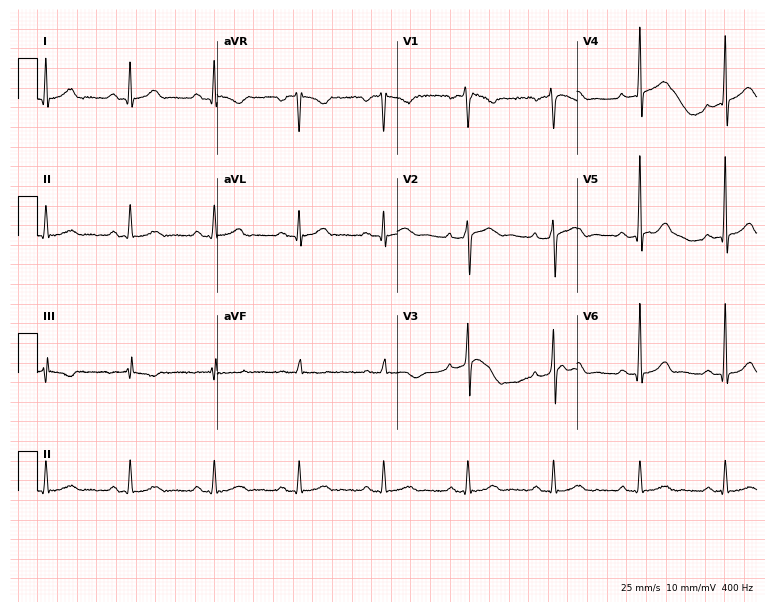
Standard 12-lead ECG recorded from a male, 32 years old (7.3-second recording at 400 Hz). Read as a normal ECG.